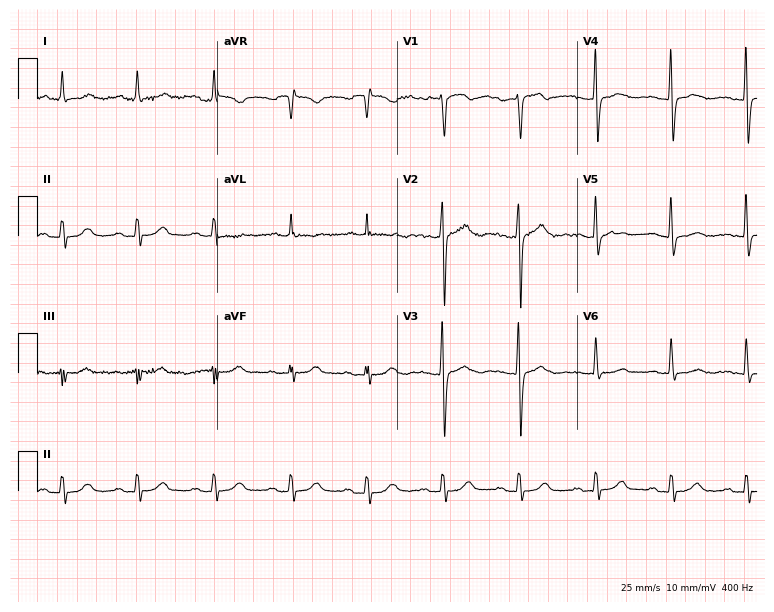
Standard 12-lead ECG recorded from a 53-year-old woman. None of these six findings is recorded: first-degree AV block, right bundle branch block (RBBB), left bundle branch block (LBBB), sinus bradycardia, atrial fibrillation (AF), sinus tachycardia.